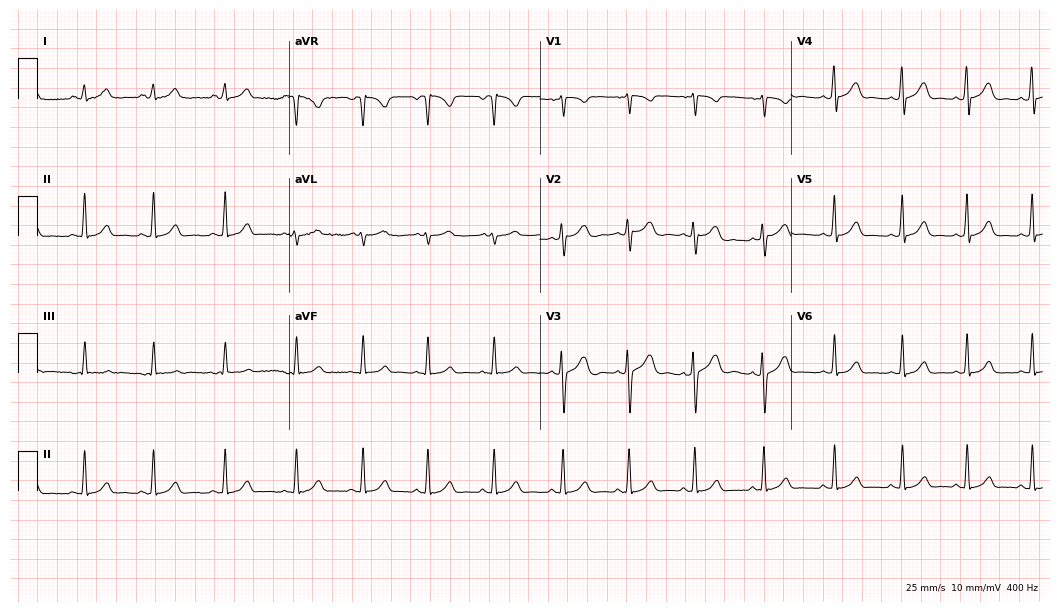
Standard 12-lead ECG recorded from a female patient, 18 years old (10.2-second recording at 400 Hz). Read as a normal ECG.